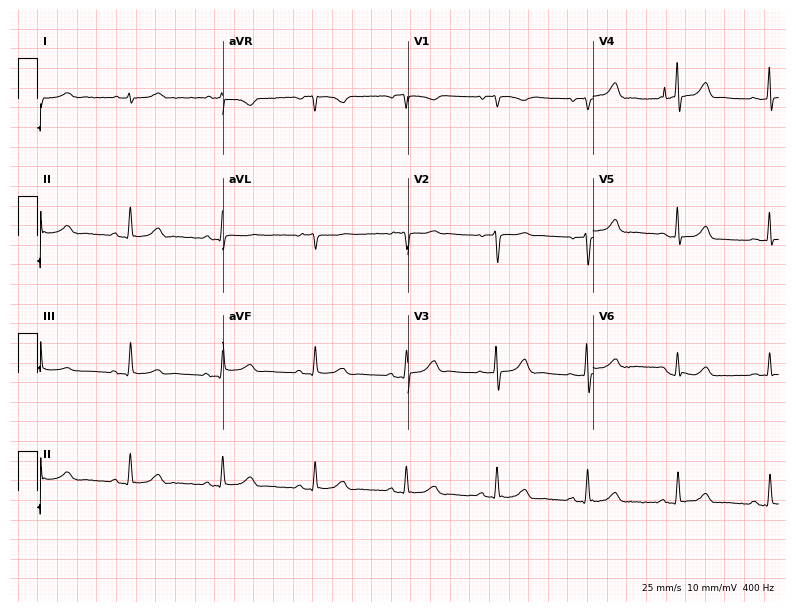
12-lead ECG from a man, 85 years old. No first-degree AV block, right bundle branch block, left bundle branch block, sinus bradycardia, atrial fibrillation or sinus tachycardia recorded for this tracing. Findings outside these six are not listed.